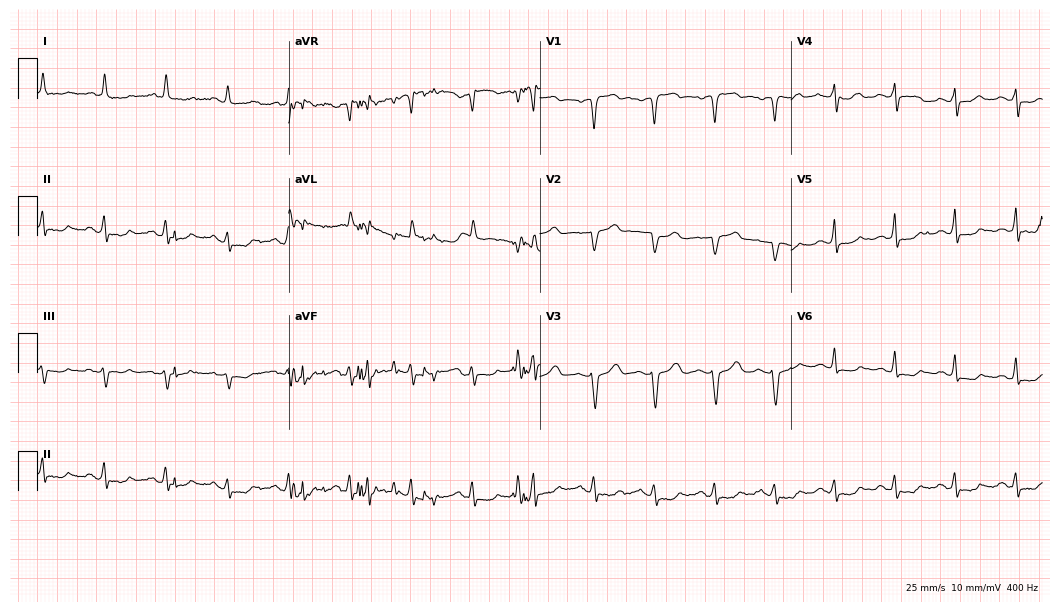
12-lead ECG (10.2-second recording at 400 Hz) from an 84-year-old male. Screened for six findings — first-degree AV block, right bundle branch block, left bundle branch block, sinus bradycardia, atrial fibrillation, sinus tachycardia — none is recorded.